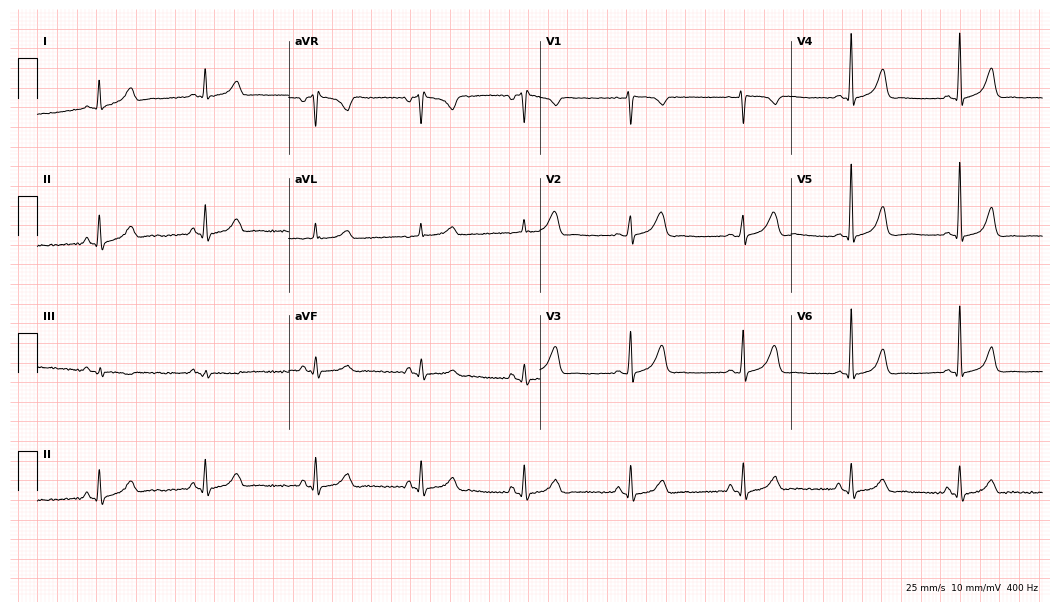
ECG (10.2-second recording at 400 Hz) — a woman, 37 years old. Labelled as a normal ECG.